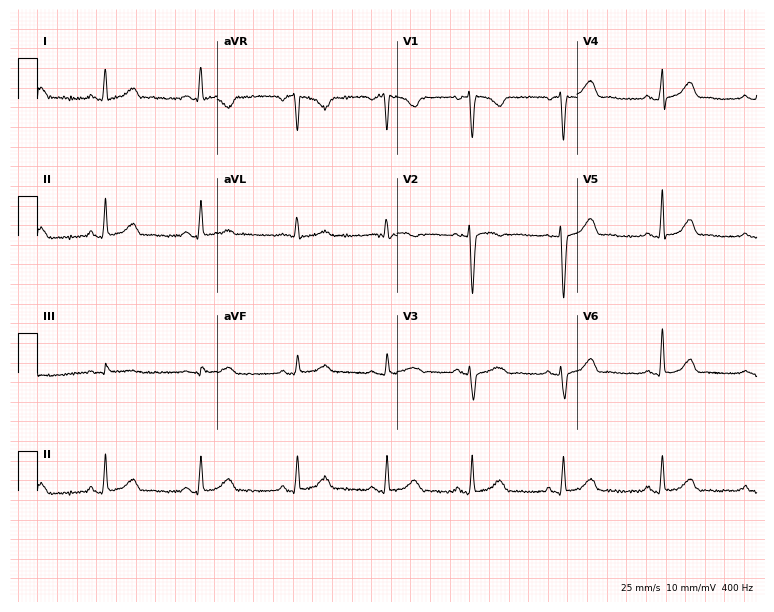
12-lead ECG from a female patient, 28 years old. No first-degree AV block, right bundle branch block (RBBB), left bundle branch block (LBBB), sinus bradycardia, atrial fibrillation (AF) or sinus tachycardia recorded for this tracing. Other findings, if any, are not listed.